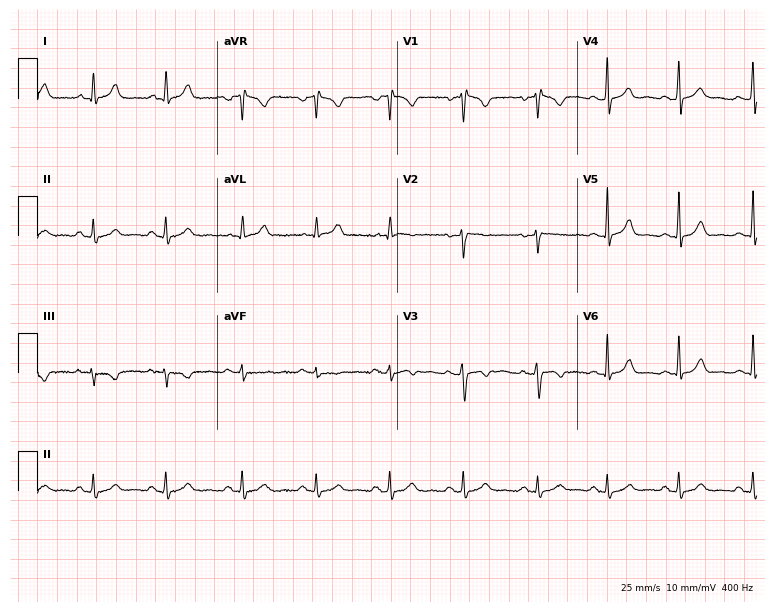
Standard 12-lead ECG recorded from a female patient, 36 years old (7.3-second recording at 400 Hz). Read as a normal ECG.